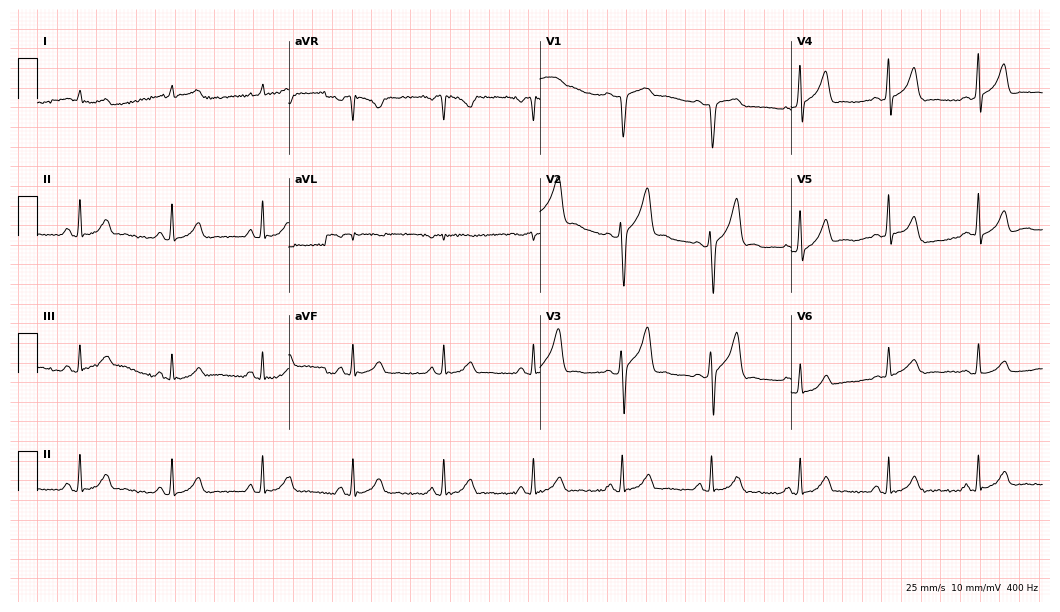
Standard 12-lead ECG recorded from a man, 55 years old (10.2-second recording at 400 Hz). None of these six findings is recorded: first-degree AV block, right bundle branch block, left bundle branch block, sinus bradycardia, atrial fibrillation, sinus tachycardia. Findings outside these six are not listed.